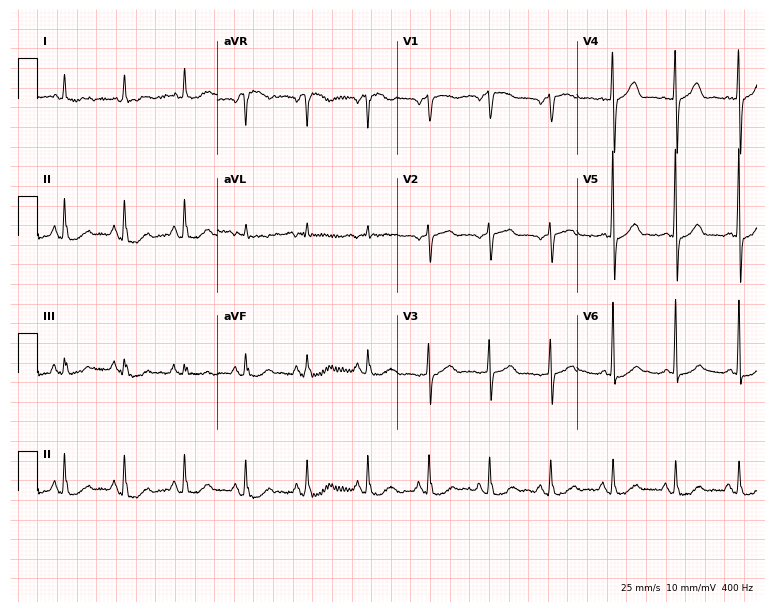
Electrocardiogram, a woman, 69 years old. Of the six screened findings (first-degree AV block, right bundle branch block, left bundle branch block, sinus bradycardia, atrial fibrillation, sinus tachycardia), none is recorded.